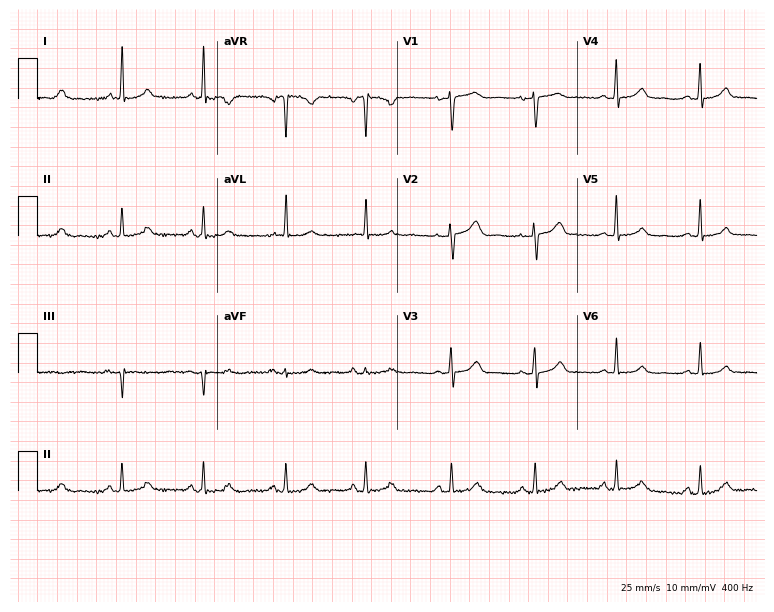
Electrocardiogram (7.3-second recording at 400 Hz), a female patient, 61 years old. Overall reading on record: normal ECG.